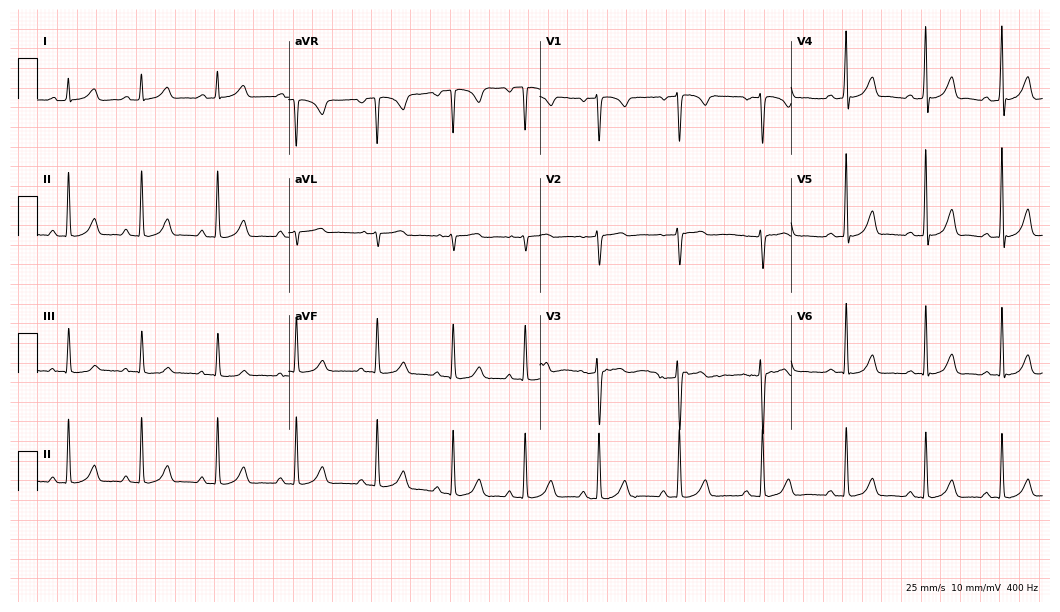
Resting 12-lead electrocardiogram. Patient: a 28-year-old female. Read as a normal ECG.